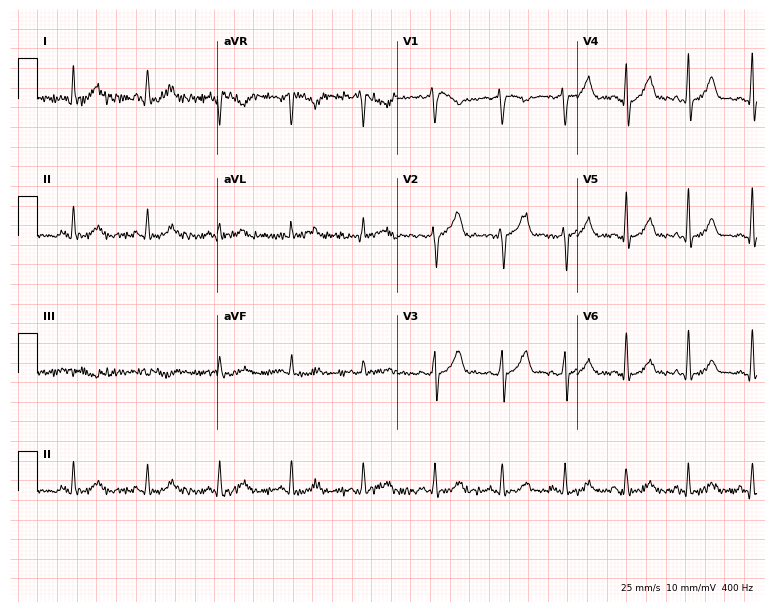
Resting 12-lead electrocardiogram (7.3-second recording at 400 Hz). Patient: a man, 47 years old. Read as a normal ECG.